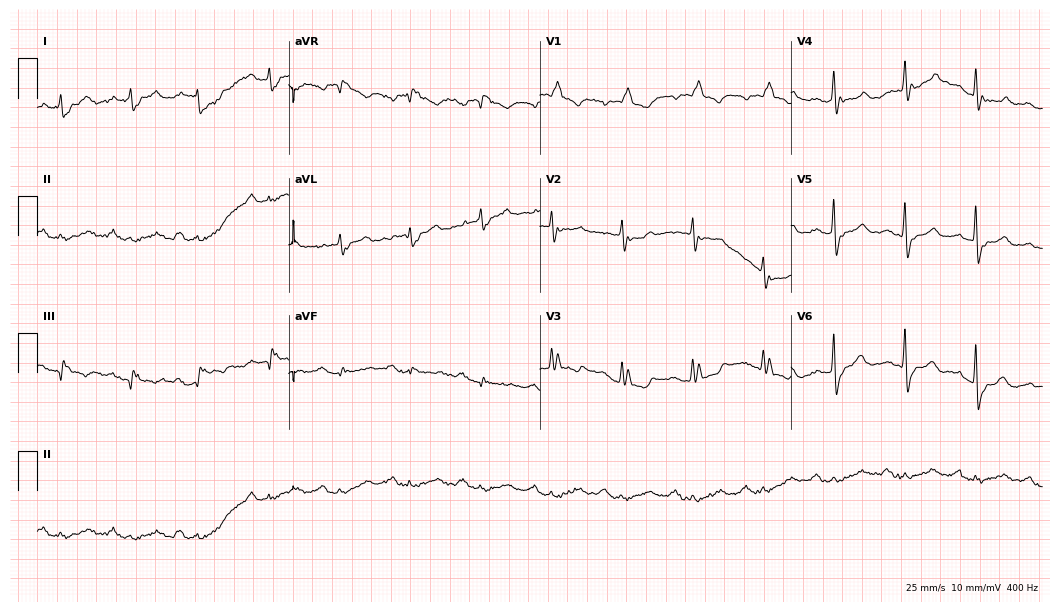
12-lead ECG from a male, 83 years old (10.2-second recording at 400 Hz). No first-degree AV block, right bundle branch block, left bundle branch block, sinus bradycardia, atrial fibrillation or sinus tachycardia recorded for this tracing. Findings outside these six are not listed.